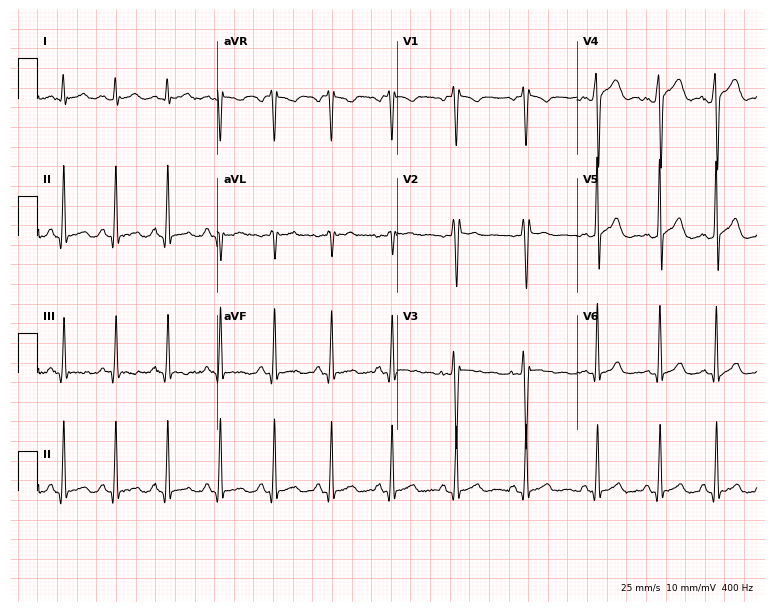
ECG — a 21-year-old male. Labelled as a normal ECG.